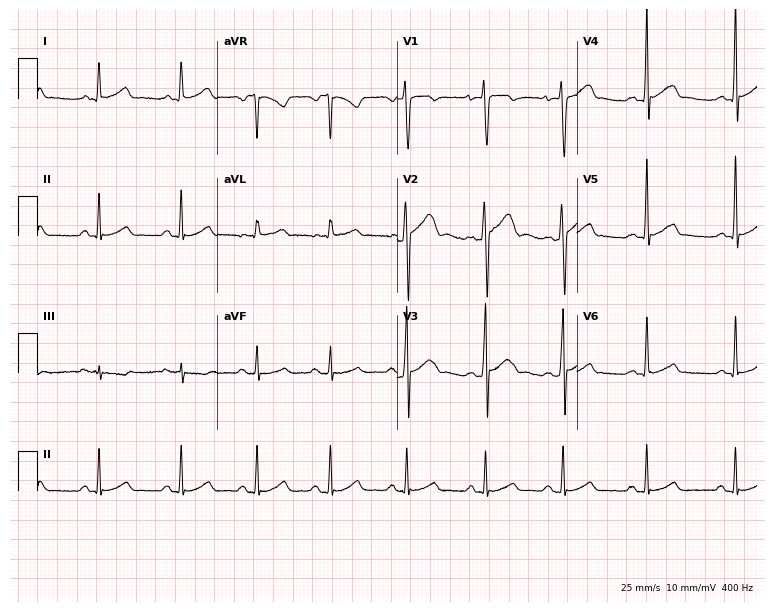
Resting 12-lead electrocardiogram. Patient: a male, 22 years old. Read as a normal ECG.